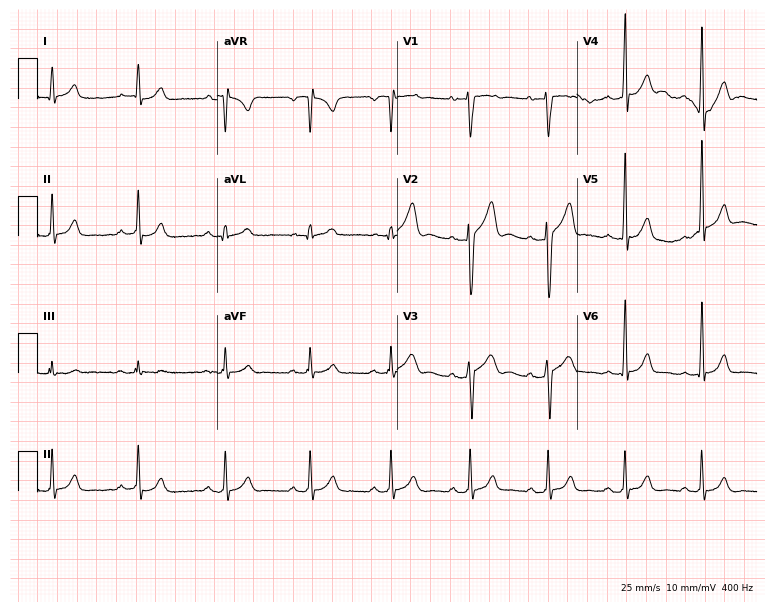
Electrocardiogram, a male patient, 28 years old. Overall reading on record: normal ECG.